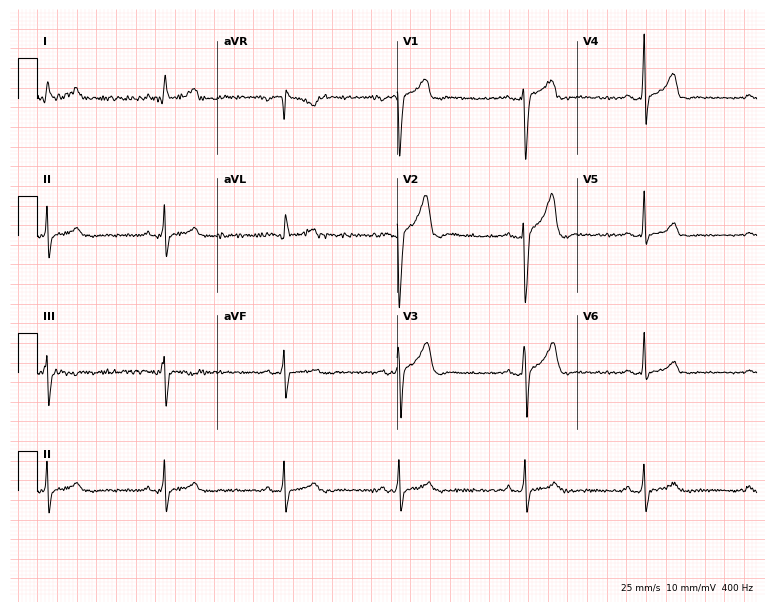
Resting 12-lead electrocardiogram (7.3-second recording at 400 Hz). Patient: a male, 30 years old. The tracing shows sinus bradycardia (a sinus rate of 50 beats per minute or less).